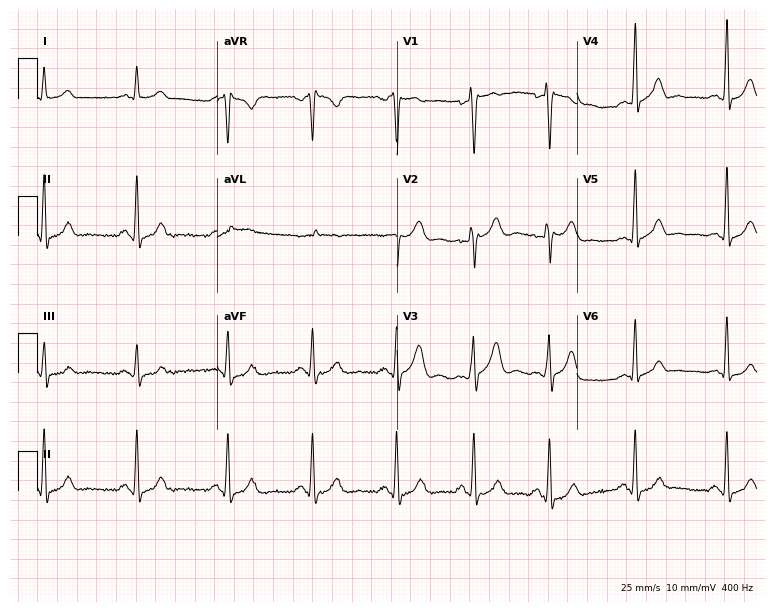
Standard 12-lead ECG recorded from a man, 23 years old. None of these six findings is recorded: first-degree AV block, right bundle branch block, left bundle branch block, sinus bradycardia, atrial fibrillation, sinus tachycardia. Only these six findings were labelled.